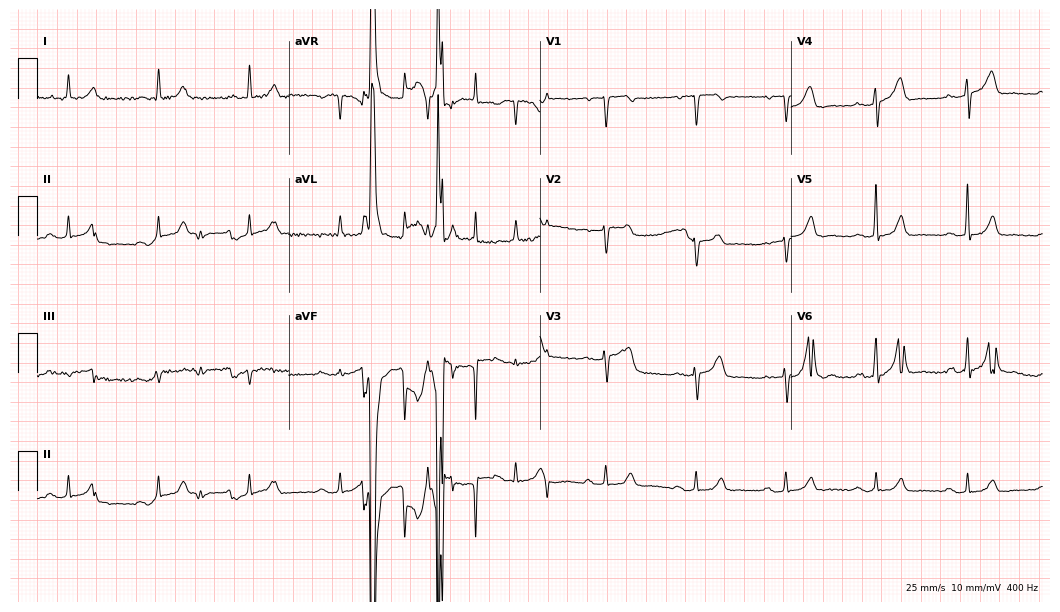
ECG (10.2-second recording at 400 Hz) — a female, 66 years old. Screened for six findings — first-degree AV block, right bundle branch block (RBBB), left bundle branch block (LBBB), sinus bradycardia, atrial fibrillation (AF), sinus tachycardia — none is recorded.